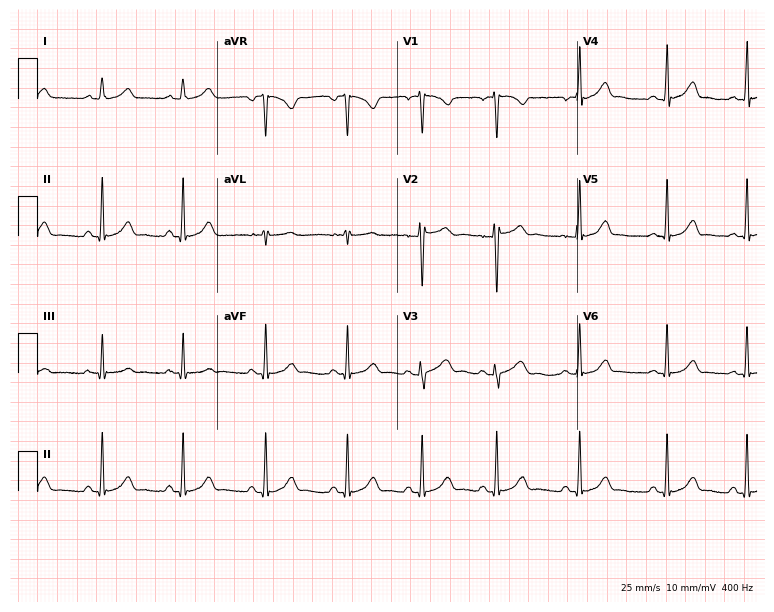
Electrocardiogram, a 24-year-old female. Of the six screened findings (first-degree AV block, right bundle branch block (RBBB), left bundle branch block (LBBB), sinus bradycardia, atrial fibrillation (AF), sinus tachycardia), none is recorded. Other findings, if any, are not listed.